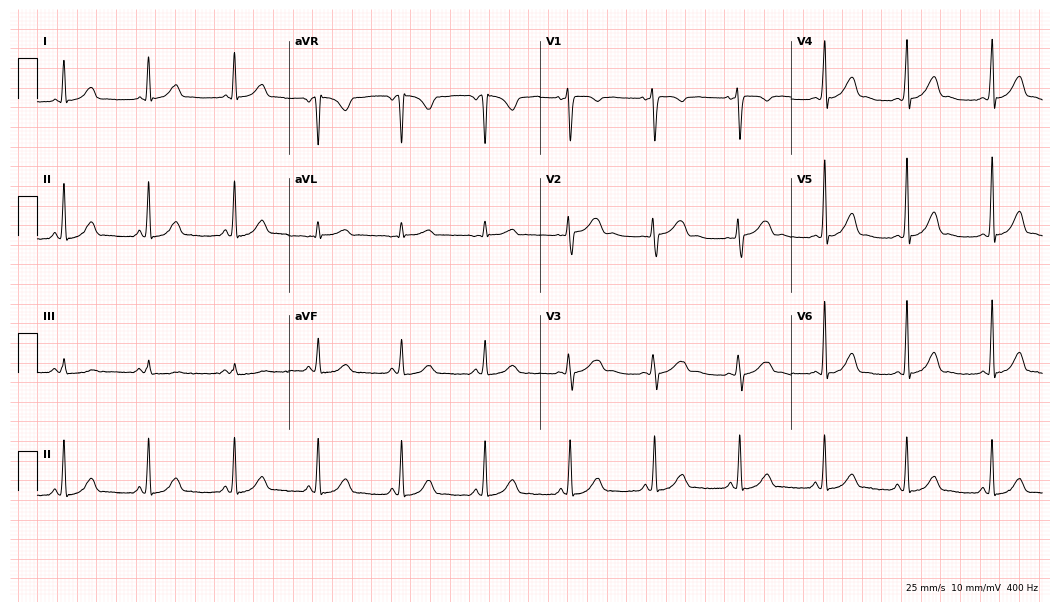
ECG — a woman, 40 years old. Screened for six findings — first-degree AV block, right bundle branch block, left bundle branch block, sinus bradycardia, atrial fibrillation, sinus tachycardia — none is recorded. Other findings, if any, are not listed.